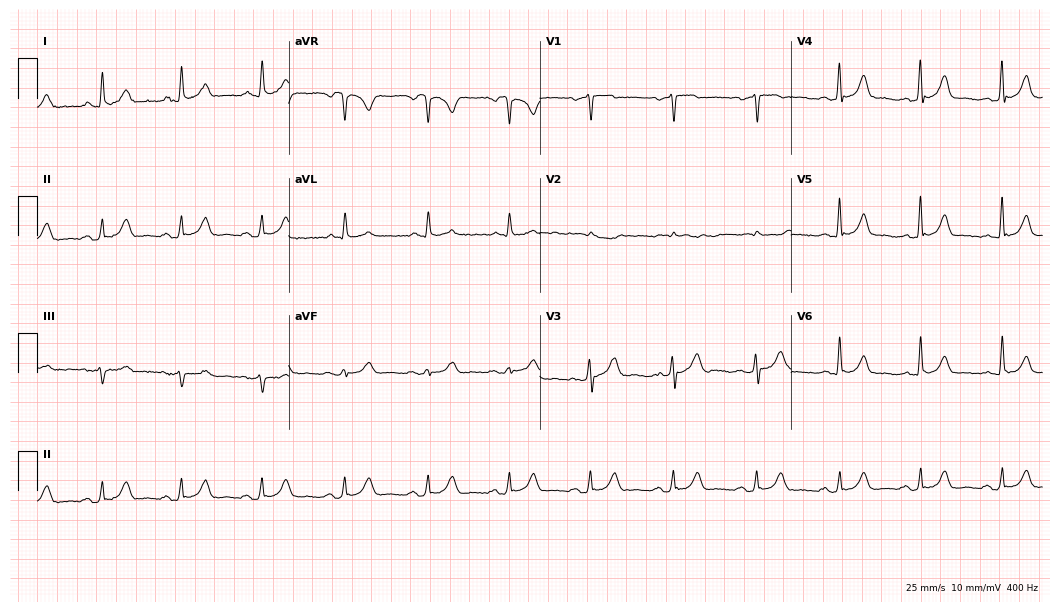
Standard 12-lead ECG recorded from a 68-year-old male (10.2-second recording at 400 Hz). Read as a normal ECG.